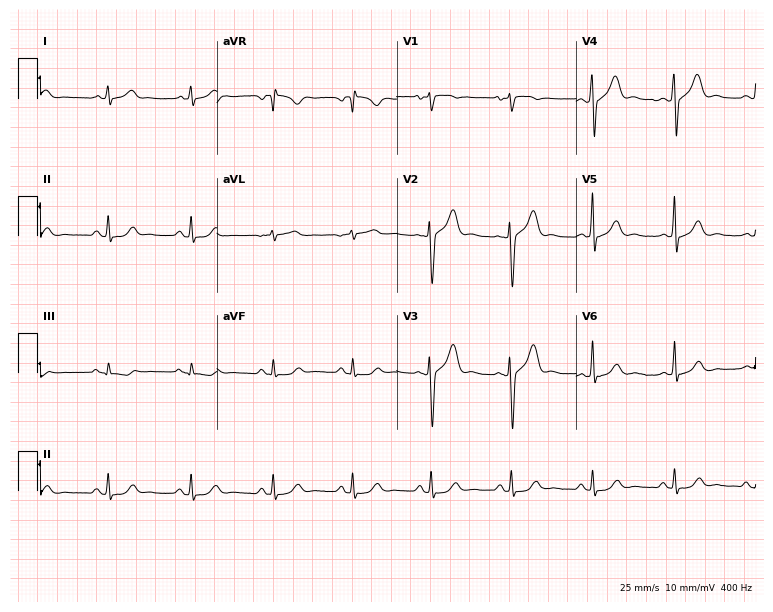
12-lead ECG from a 58-year-old male (7.3-second recording at 400 Hz). No first-degree AV block, right bundle branch block, left bundle branch block, sinus bradycardia, atrial fibrillation or sinus tachycardia recorded for this tracing.